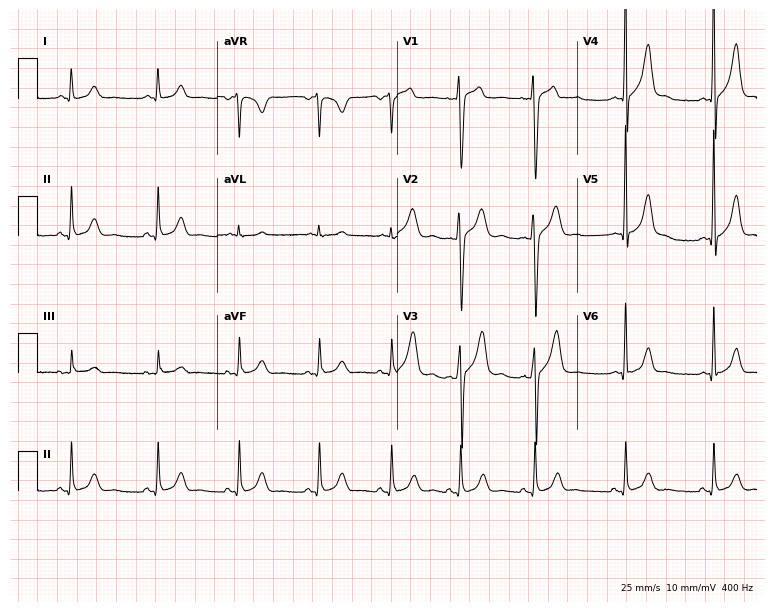
Electrocardiogram, a man, 21 years old. Overall reading on record: normal ECG.